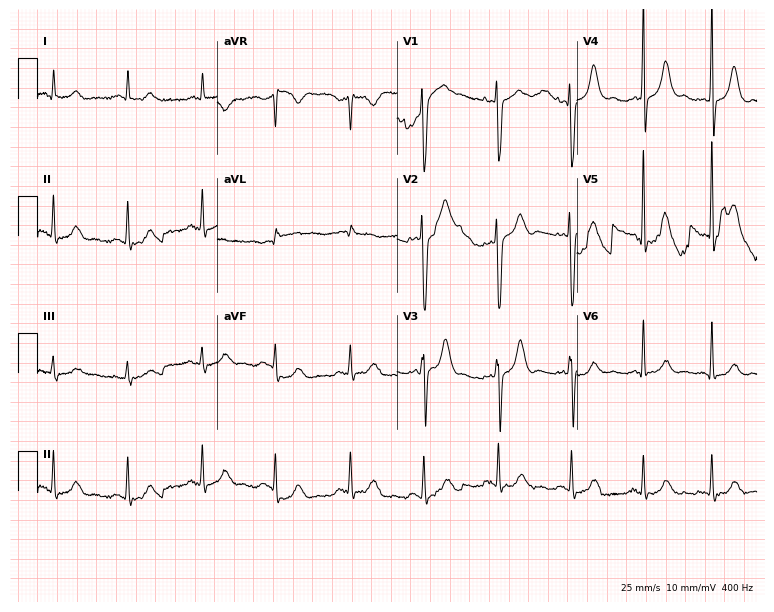
12-lead ECG from a 36-year-old female patient. Labelled as a normal ECG.